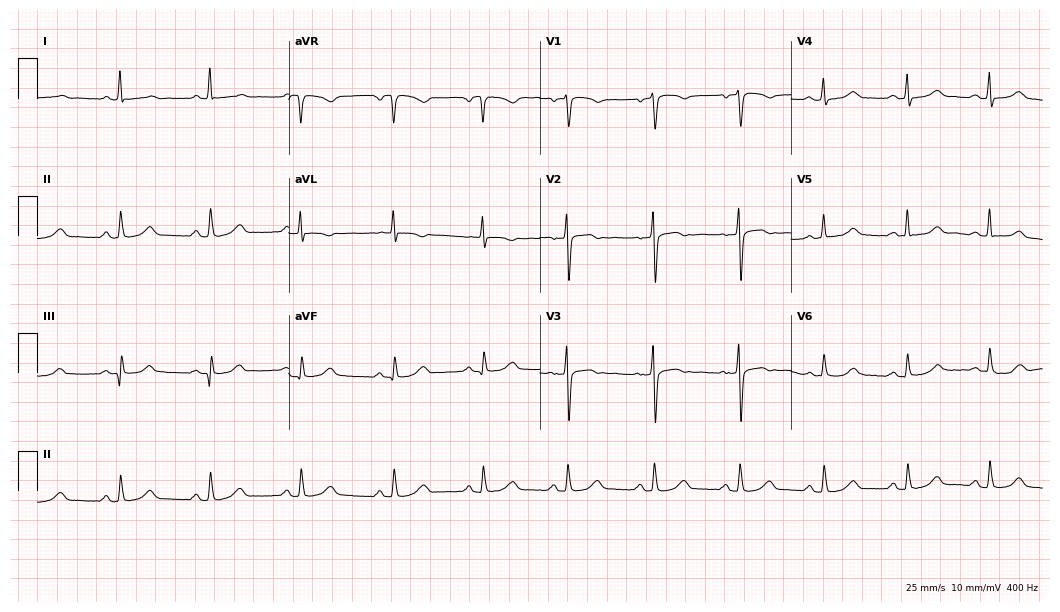
Electrocardiogram, a 54-year-old woman. Overall reading on record: normal ECG.